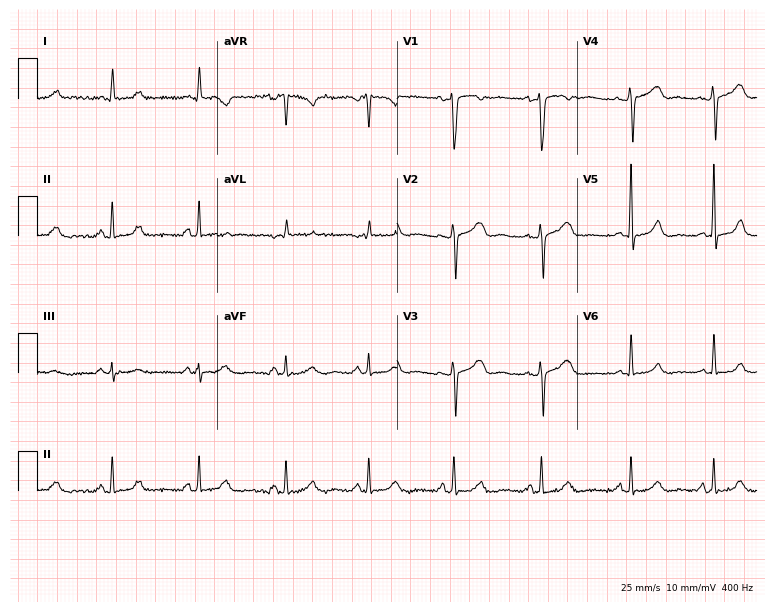
Standard 12-lead ECG recorded from a 42-year-old female patient. Read as a normal ECG.